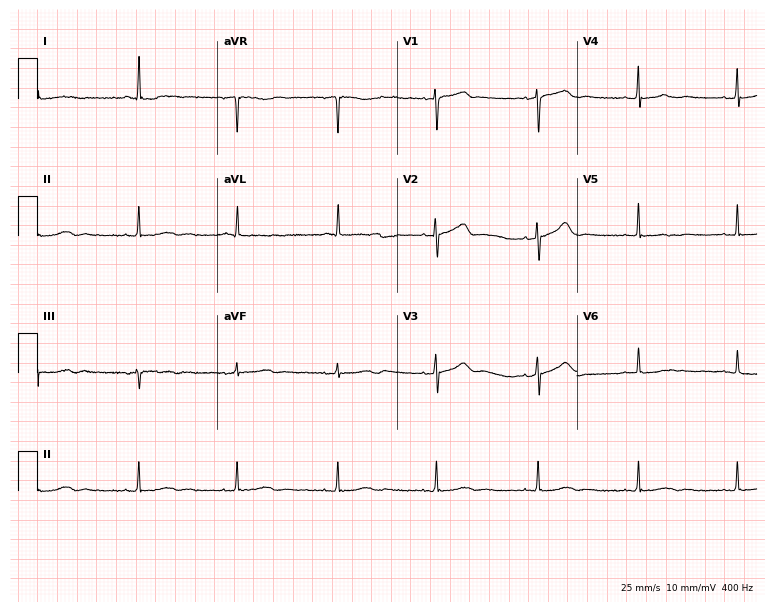
12-lead ECG from a 75-year-old woman. Labelled as a normal ECG.